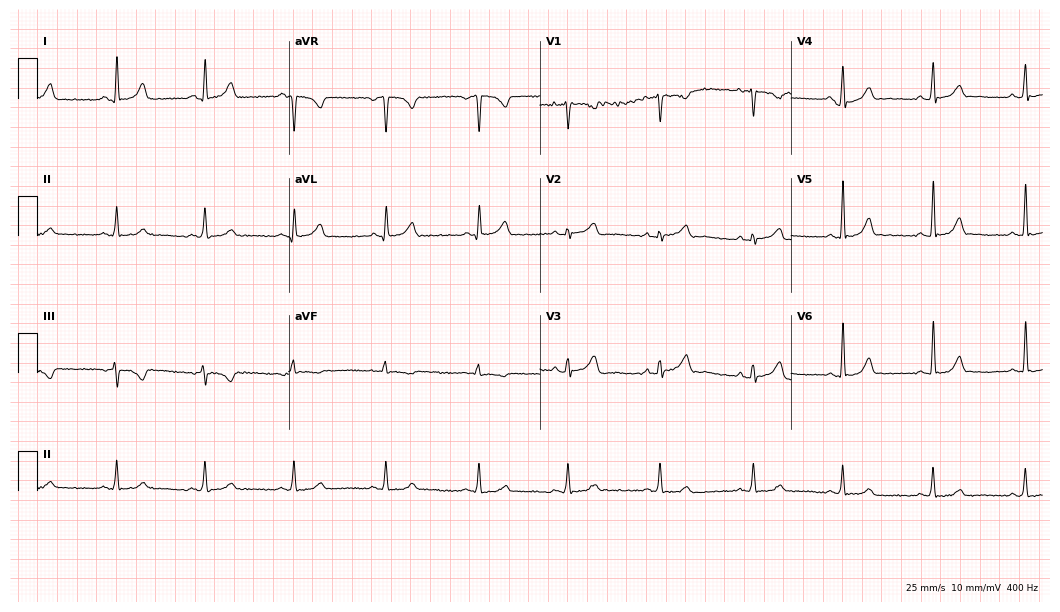
Standard 12-lead ECG recorded from a female, 29 years old. None of these six findings is recorded: first-degree AV block, right bundle branch block (RBBB), left bundle branch block (LBBB), sinus bradycardia, atrial fibrillation (AF), sinus tachycardia. Findings outside these six are not listed.